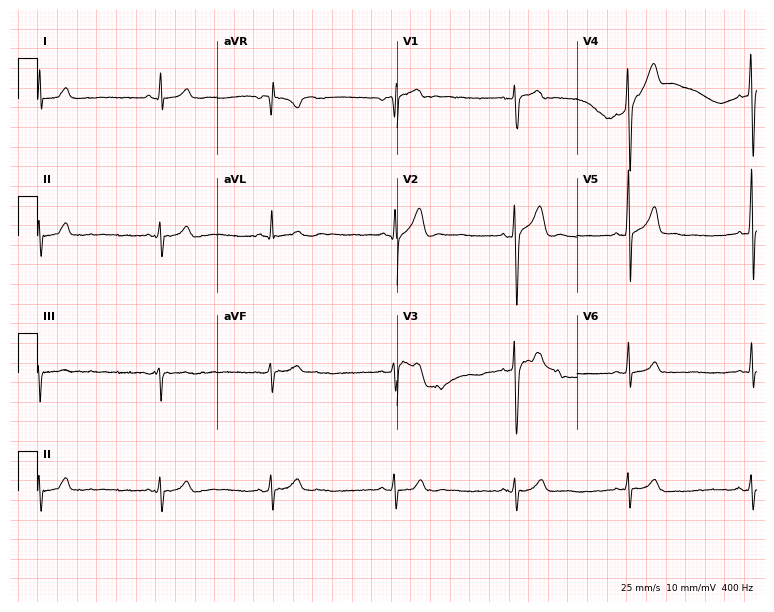
12-lead ECG (7.3-second recording at 400 Hz) from a 27-year-old male. Screened for six findings — first-degree AV block, right bundle branch block, left bundle branch block, sinus bradycardia, atrial fibrillation, sinus tachycardia — none is recorded. Findings outside these six are not listed.